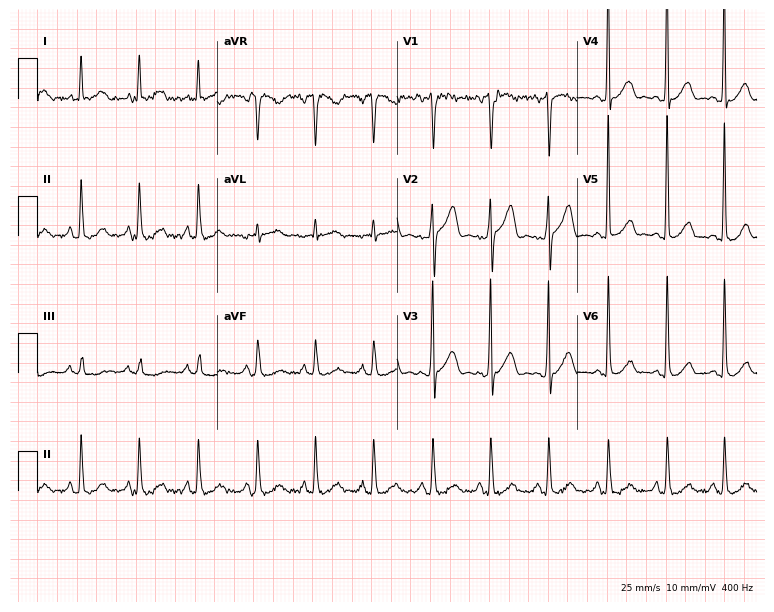
12-lead ECG from a female patient, 45 years old (7.3-second recording at 400 Hz). Recorded interpretation: within normal limits.